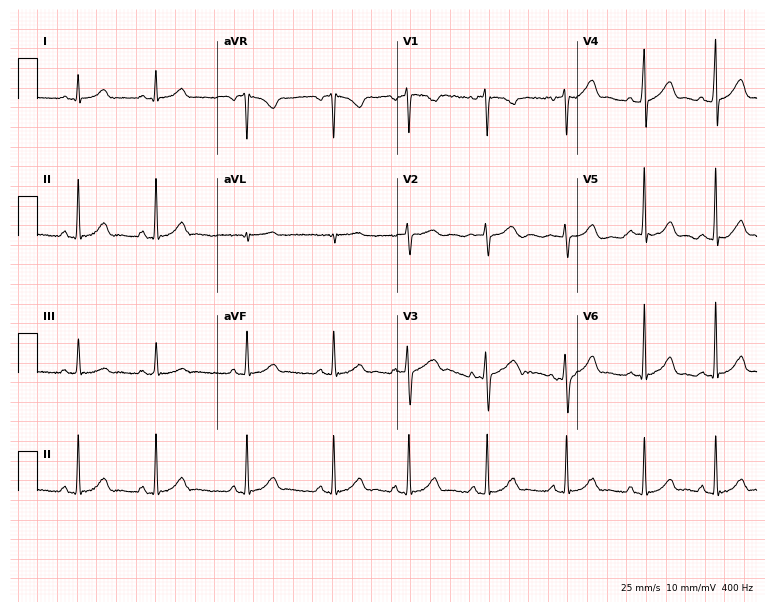
Standard 12-lead ECG recorded from a female patient, 29 years old. Read as a normal ECG.